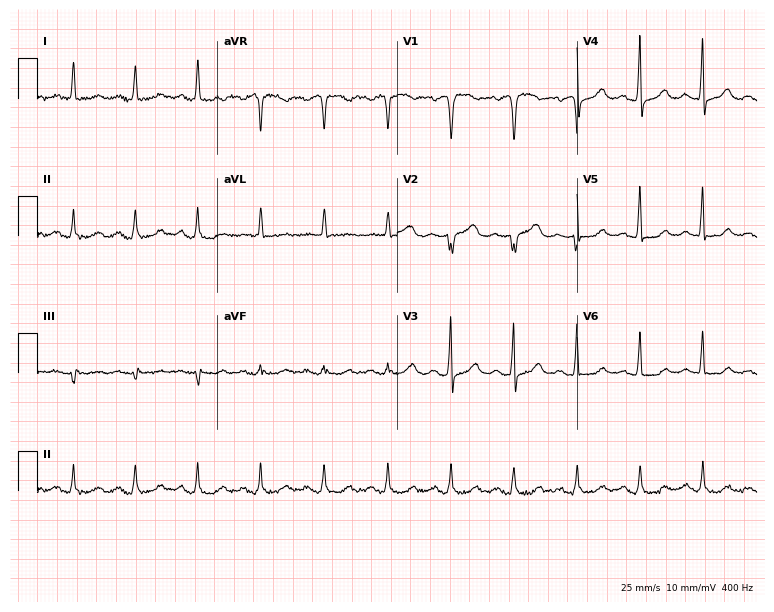
Resting 12-lead electrocardiogram (7.3-second recording at 400 Hz). Patient: a female, 63 years old. Read as a normal ECG.